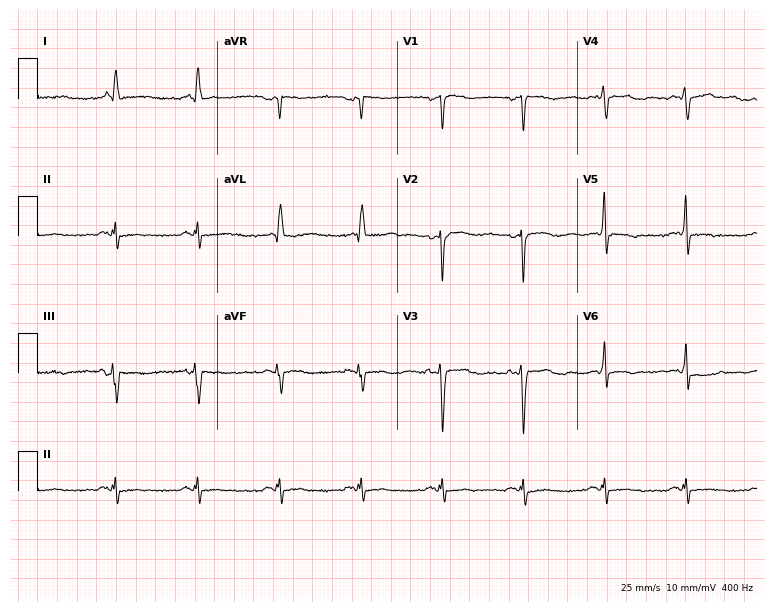
Standard 12-lead ECG recorded from a 72-year-old woman. None of these six findings is recorded: first-degree AV block, right bundle branch block (RBBB), left bundle branch block (LBBB), sinus bradycardia, atrial fibrillation (AF), sinus tachycardia. Findings outside these six are not listed.